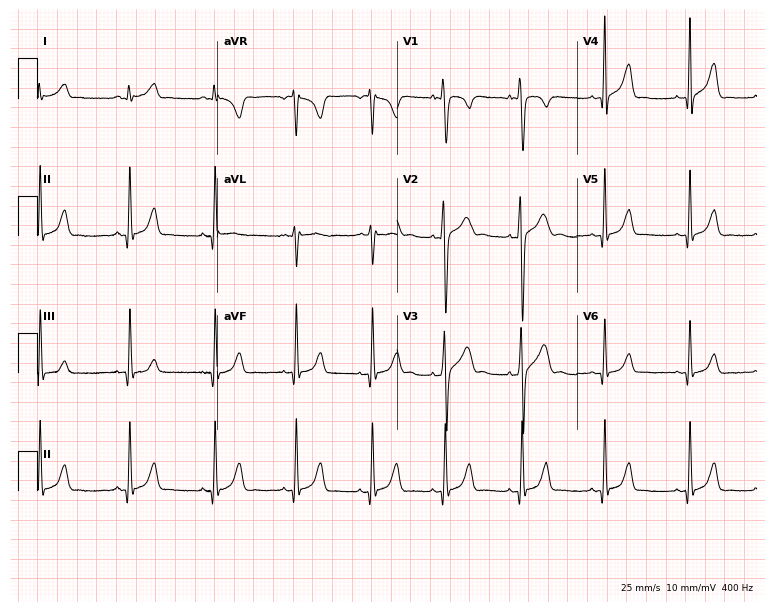
ECG — a 21-year-old male patient. Screened for six findings — first-degree AV block, right bundle branch block, left bundle branch block, sinus bradycardia, atrial fibrillation, sinus tachycardia — none is recorded.